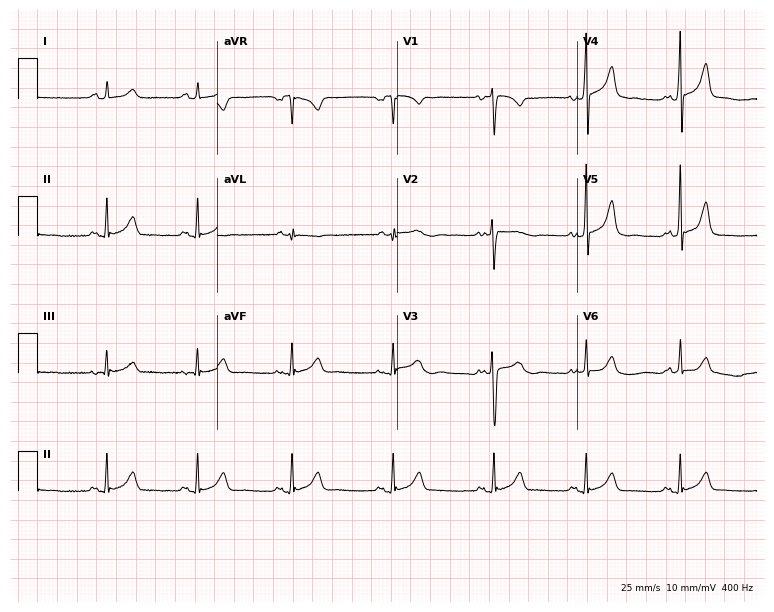
Resting 12-lead electrocardiogram (7.3-second recording at 400 Hz). Patient: a 44-year-old woman. Read as a normal ECG.